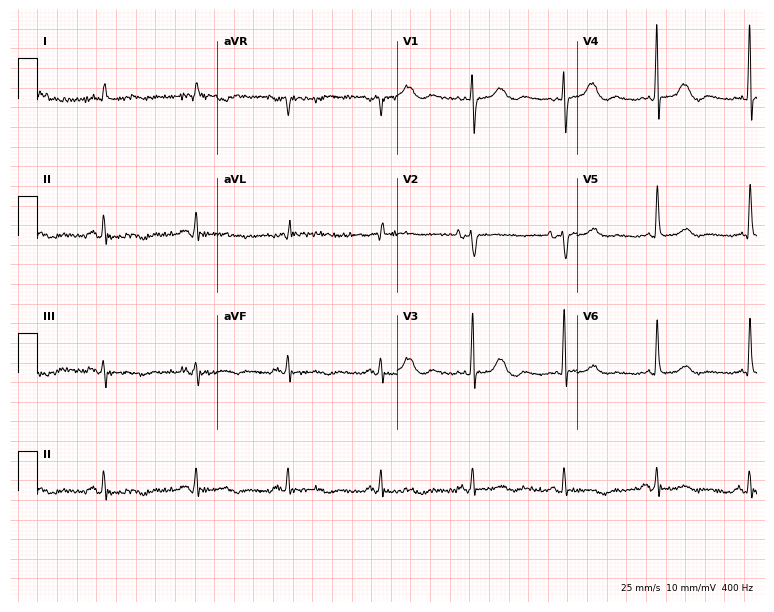
ECG — a female, 70 years old. Labelled as a normal ECG.